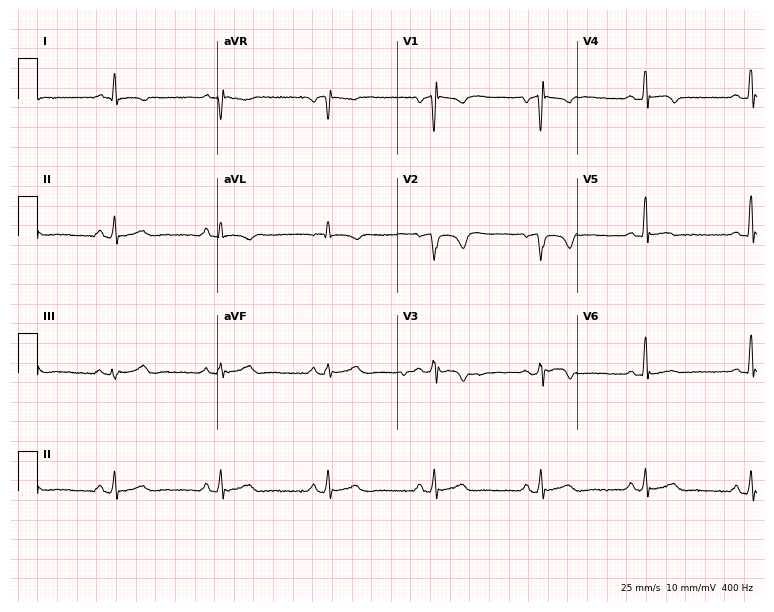
12-lead ECG from a 57-year-old male patient. No first-degree AV block, right bundle branch block, left bundle branch block, sinus bradycardia, atrial fibrillation or sinus tachycardia recorded for this tracing. Other findings, if any, are not listed.